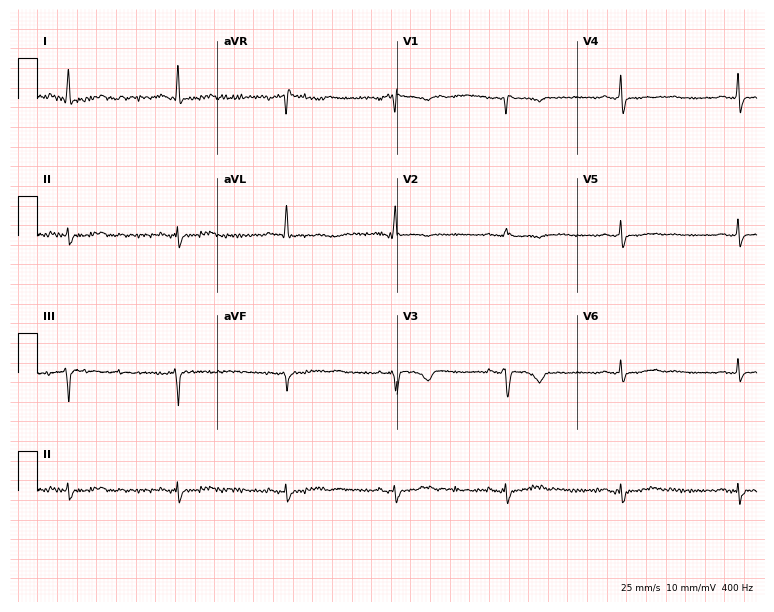
ECG — a 46-year-old female. Screened for six findings — first-degree AV block, right bundle branch block (RBBB), left bundle branch block (LBBB), sinus bradycardia, atrial fibrillation (AF), sinus tachycardia — none is recorded.